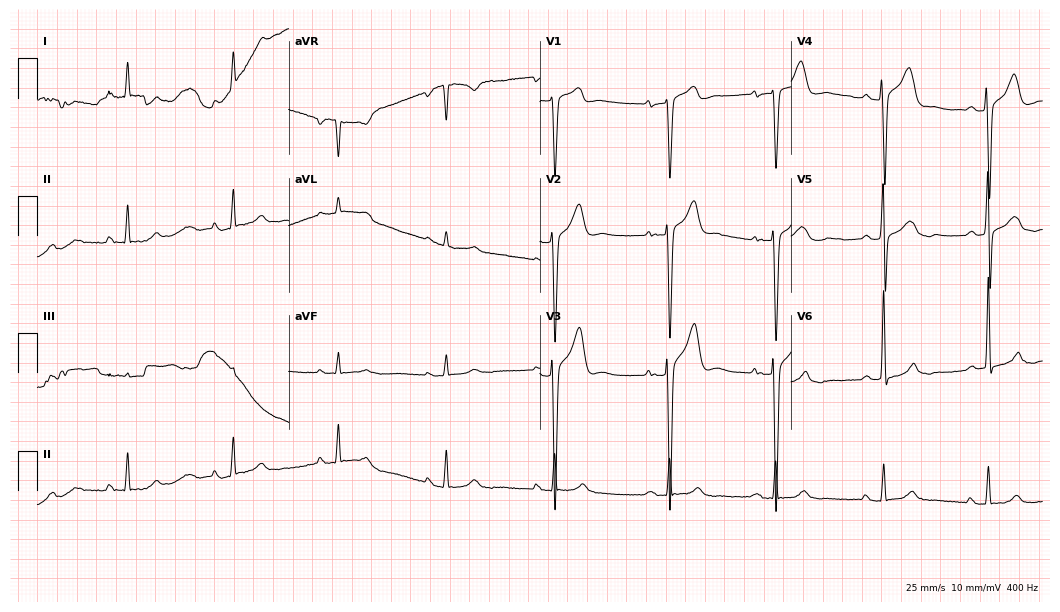
Electrocardiogram, a 62-year-old man. Of the six screened findings (first-degree AV block, right bundle branch block, left bundle branch block, sinus bradycardia, atrial fibrillation, sinus tachycardia), none is recorded.